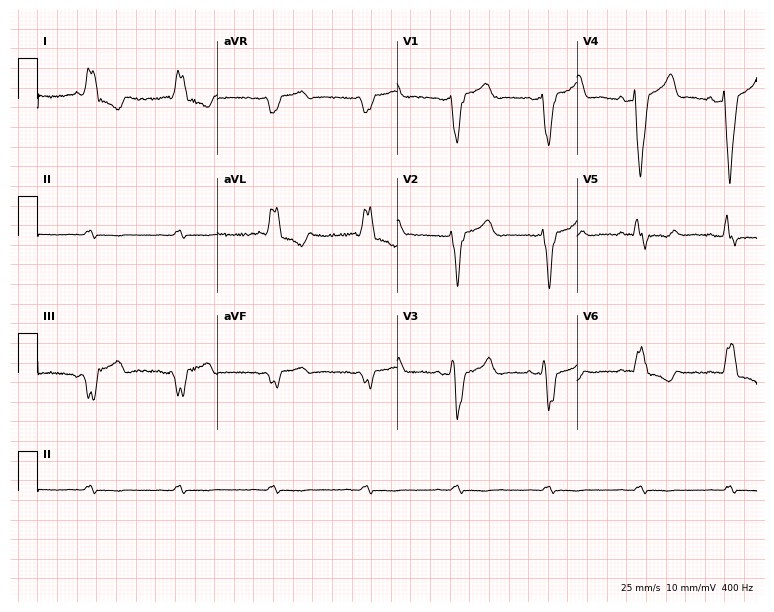
Electrocardiogram, a woman, 82 years old. Interpretation includes left bundle branch block (LBBB).